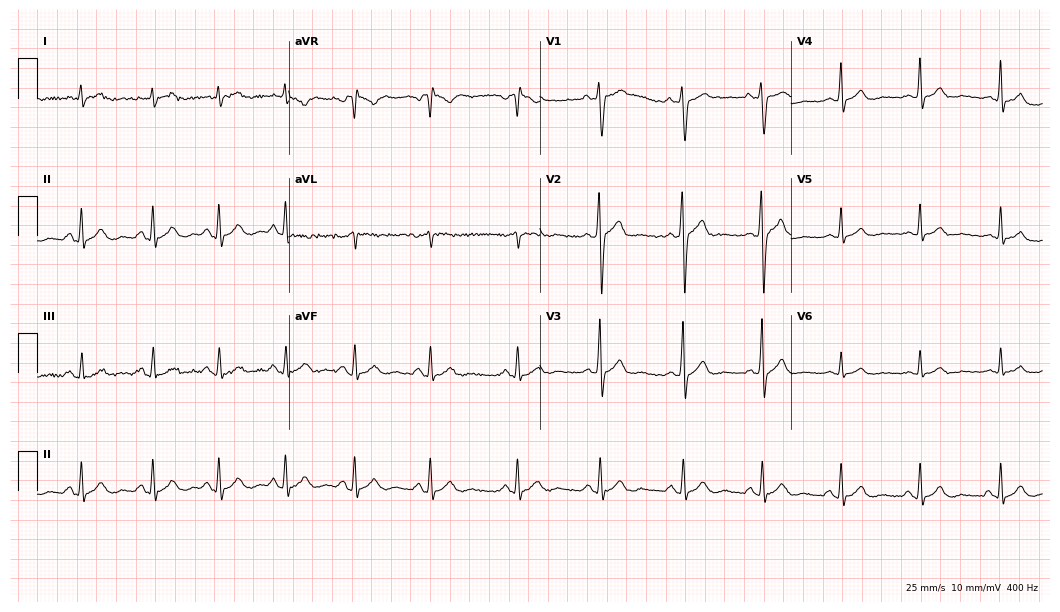
Electrocardiogram, a male patient, 22 years old. Overall reading on record: normal ECG.